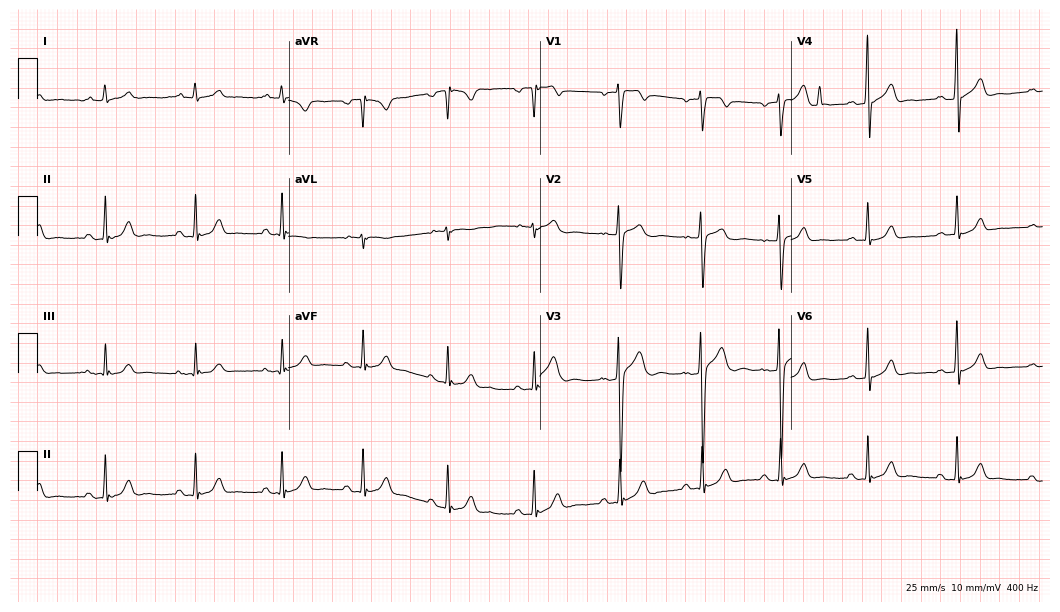
Resting 12-lead electrocardiogram. Patient: a male, 26 years old. Read as a normal ECG.